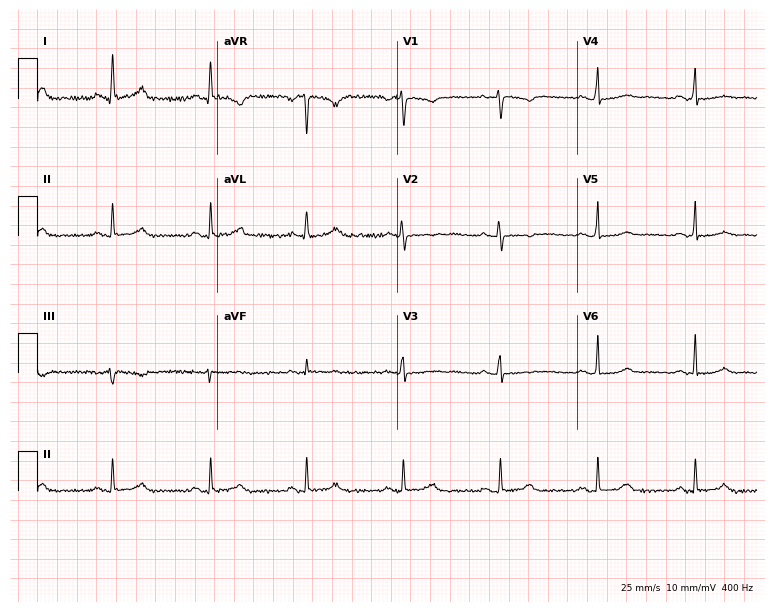
Standard 12-lead ECG recorded from a woman, 49 years old (7.3-second recording at 400 Hz). None of these six findings is recorded: first-degree AV block, right bundle branch block, left bundle branch block, sinus bradycardia, atrial fibrillation, sinus tachycardia. Only these six findings were labelled.